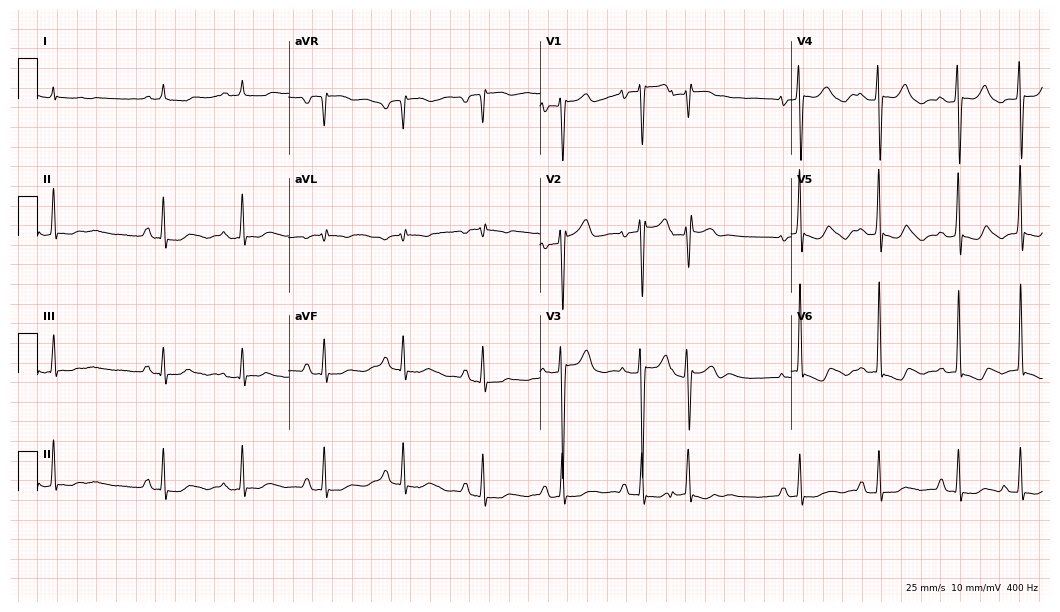
Electrocardiogram (10.2-second recording at 400 Hz), an 83-year-old male. Of the six screened findings (first-degree AV block, right bundle branch block (RBBB), left bundle branch block (LBBB), sinus bradycardia, atrial fibrillation (AF), sinus tachycardia), none is recorded. Only these six findings were labelled.